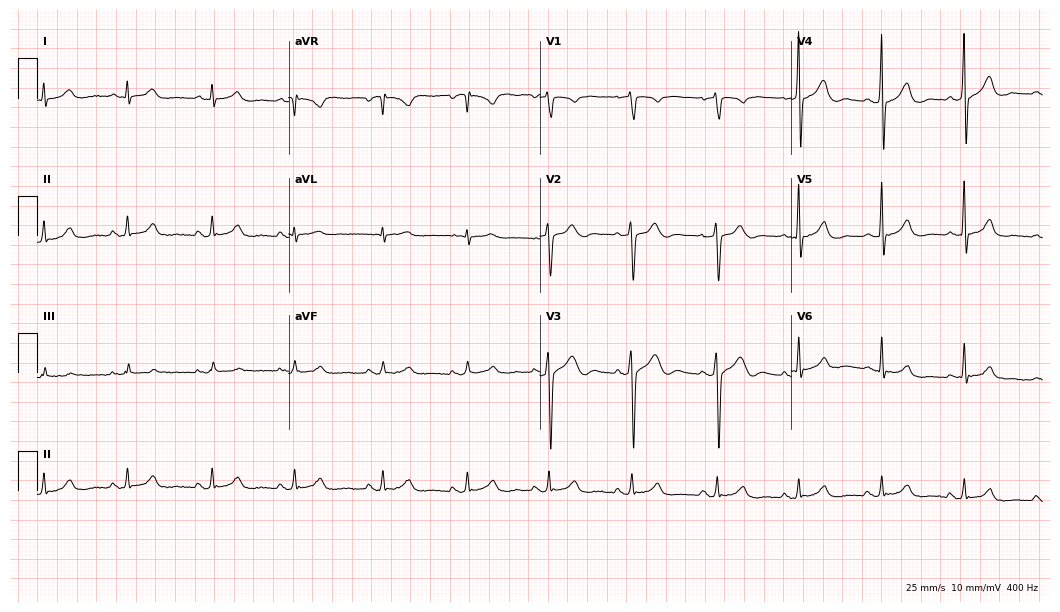
ECG (10.2-second recording at 400 Hz) — a 36-year-old male. Screened for six findings — first-degree AV block, right bundle branch block, left bundle branch block, sinus bradycardia, atrial fibrillation, sinus tachycardia — none is recorded. Only these six findings were labelled.